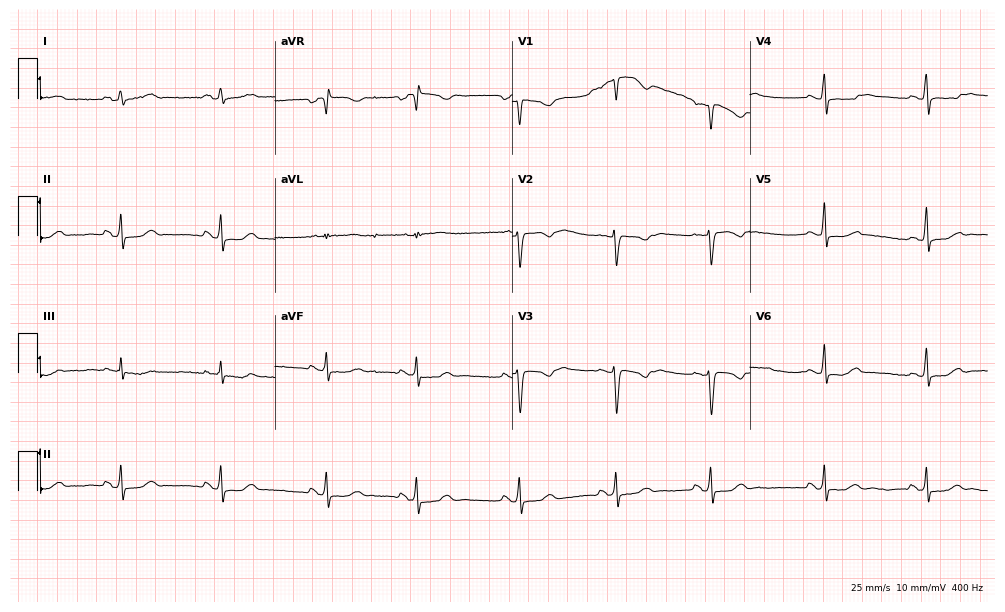
Electrocardiogram (9.7-second recording at 400 Hz), a 17-year-old female patient. Of the six screened findings (first-degree AV block, right bundle branch block, left bundle branch block, sinus bradycardia, atrial fibrillation, sinus tachycardia), none is recorded.